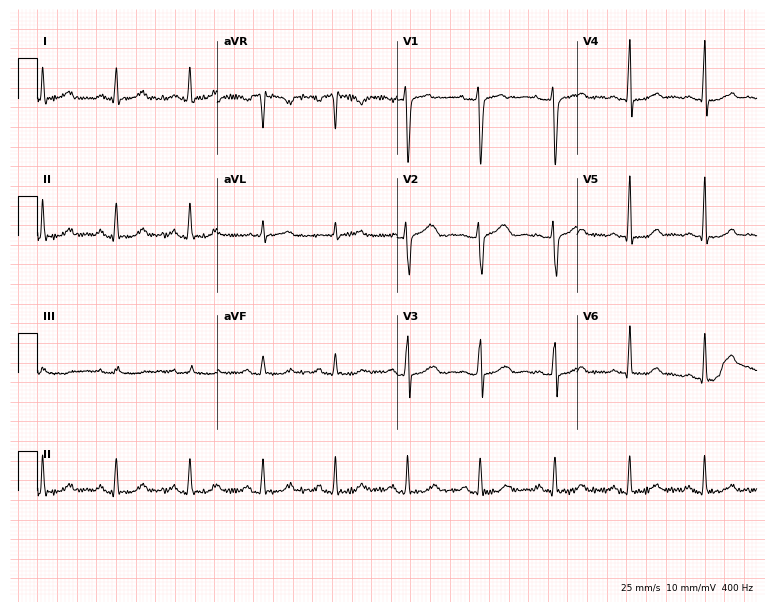
Standard 12-lead ECG recorded from a female patient, 29 years old. Read as a normal ECG.